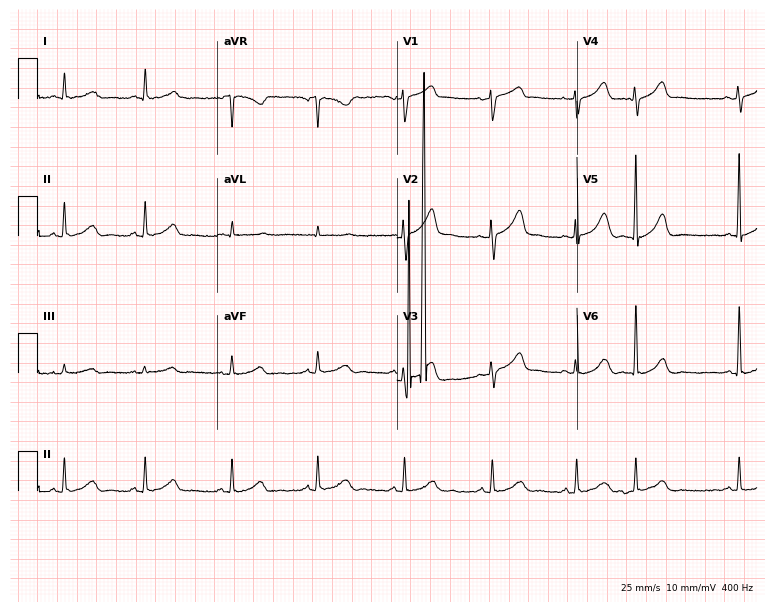
Standard 12-lead ECG recorded from a 64-year-old female patient. None of these six findings is recorded: first-degree AV block, right bundle branch block, left bundle branch block, sinus bradycardia, atrial fibrillation, sinus tachycardia.